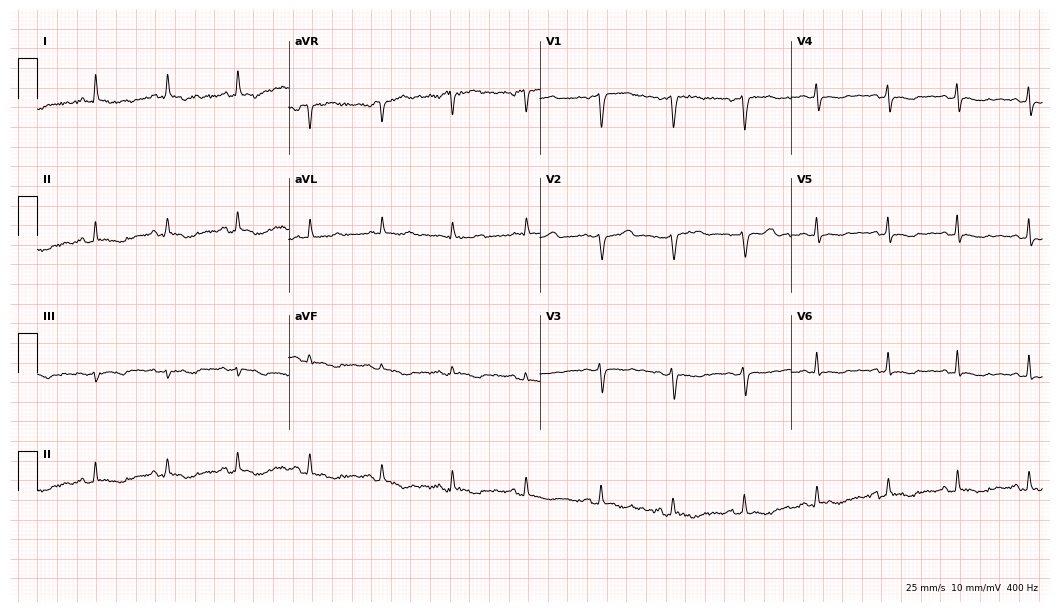
Resting 12-lead electrocardiogram (10.2-second recording at 400 Hz). Patient: a 62-year-old female. None of these six findings is recorded: first-degree AV block, right bundle branch block, left bundle branch block, sinus bradycardia, atrial fibrillation, sinus tachycardia. Other findings, if any, are not listed.